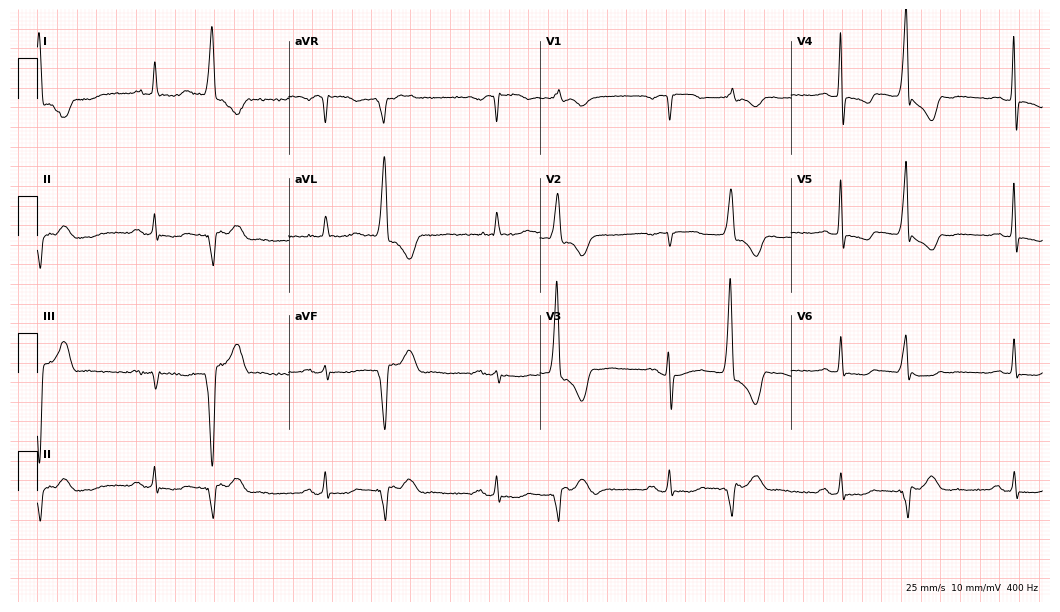
Standard 12-lead ECG recorded from an 80-year-old female (10.2-second recording at 400 Hz). None of these six findings is recorded: first-degree AV block, right bundle branch block (RBBB), left bundle branch block (LBBB), sinus bradycardia, atrial fibrillation (AF), sinus tachycardia.